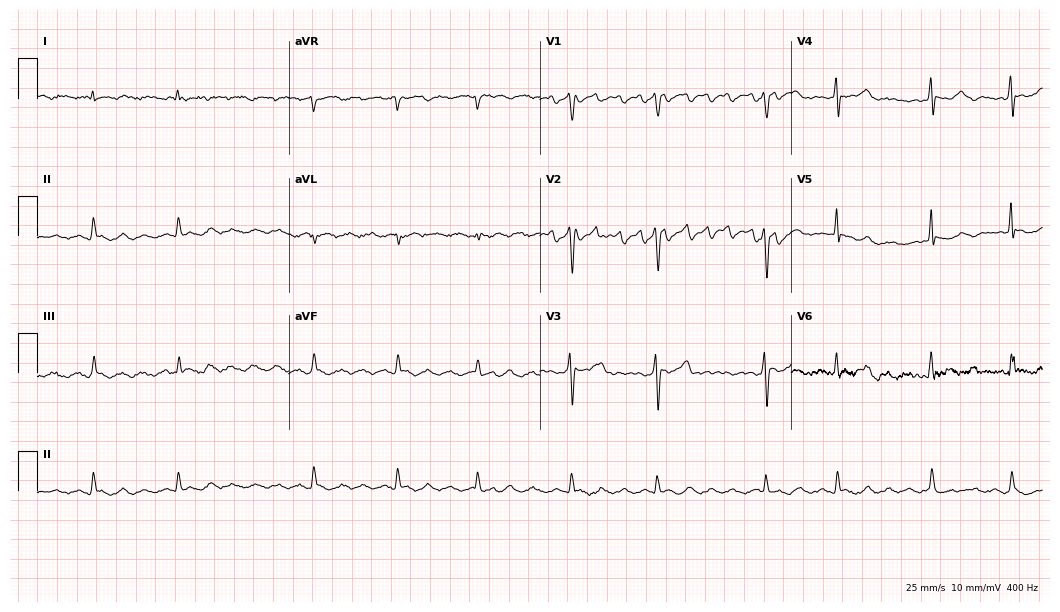
12-lead ECG from a 44-year-old woman. No first-degree AV block, right bundle branch block (RBBB), left bundle branch block (LBBB), sinus bradycardia, atrial fibrillation (AF) or sinus tachycardia recorded for this tracing. Only these six findings were labelled.